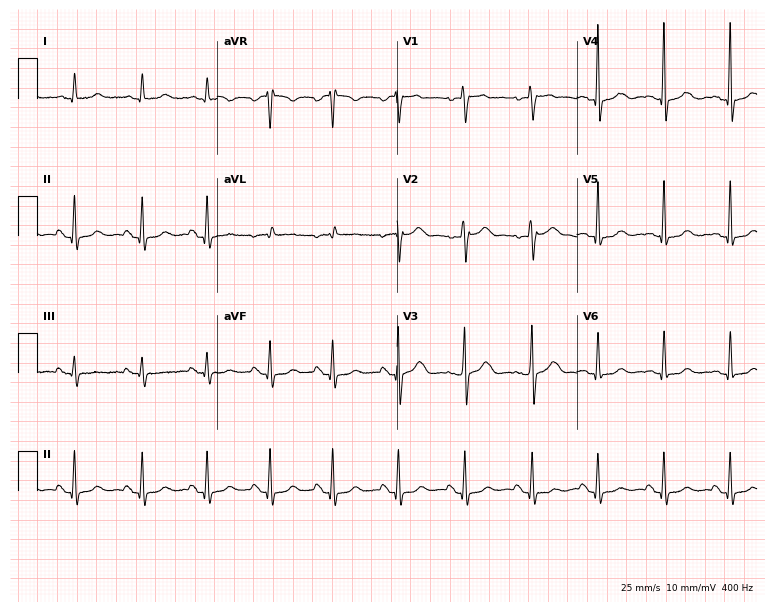
Electrocardiogram, a female, 58 years old. Overall reading on record: normal ECG.